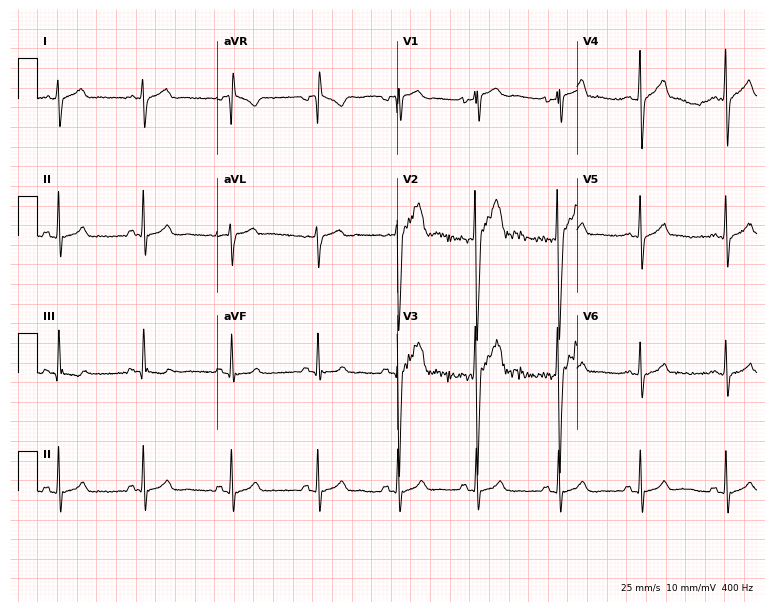
Resting 12-lead electrocardiogram. Patient: a male, 21 years old. None of these six findings is recorded: first-degree AV block, right bundle branch block, left bundle branch block, sinus bradycardia, atrial fibrillation, sinus tachycardia.